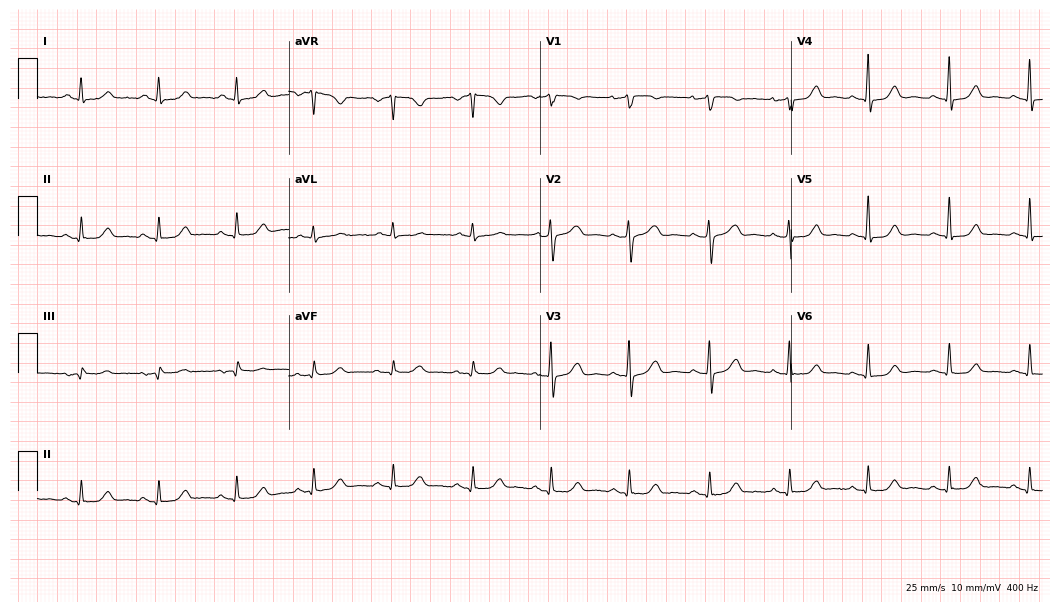
Standard 12-lead ECG recorded from a female, 66 years old. None of these six findings is recorded: first-degree AV block, right bundle branch block (RBBB), left bundle branch block (LBBB), sinus bradycardia, atrial fibrillation (AF), sinus tachycardia.